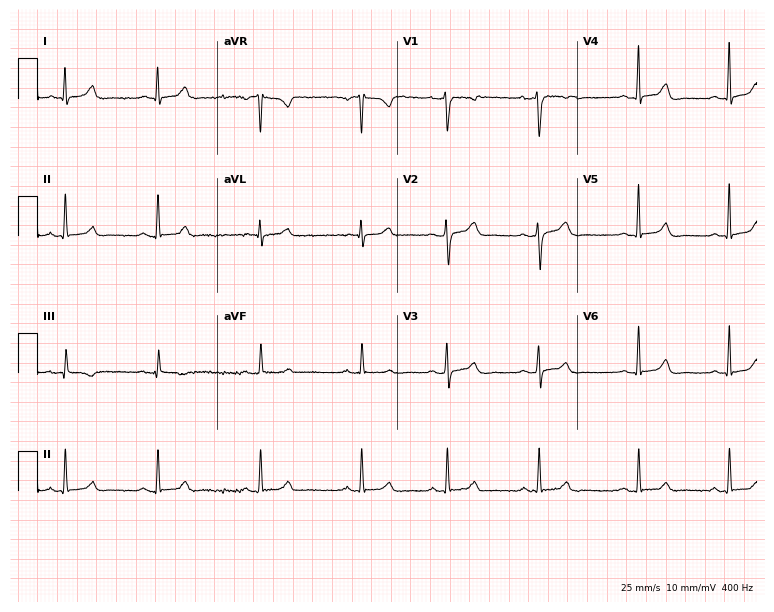
Resting 12-lead electrocardiogram. Patient: a woman, 28 years old. None of these six findings is recorded: first-degree AV block, right bundle branch block (RBBB), left bundle branch block (LBBB), sinus bradycardia, atrial fibrillation (AF), sinus tachycardia.